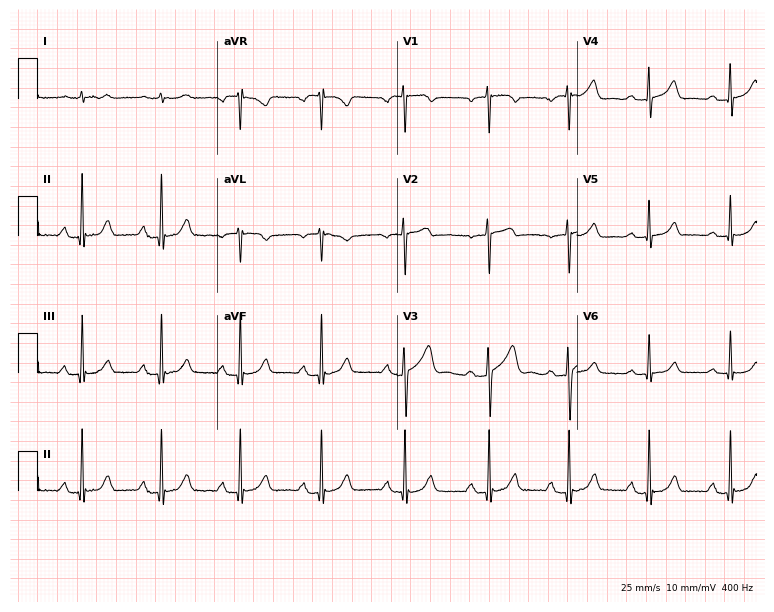
Electrocardiogram (7.3-second recording at 400 Hz), a man, 63 years old. Of the six screened findings (first-degree AV block, right bundle branch block, left bundle branch block, sinus bradycardia, atrial fibrillation, sinus tachycardia), none is recorded. Findings outside these six are not listed.